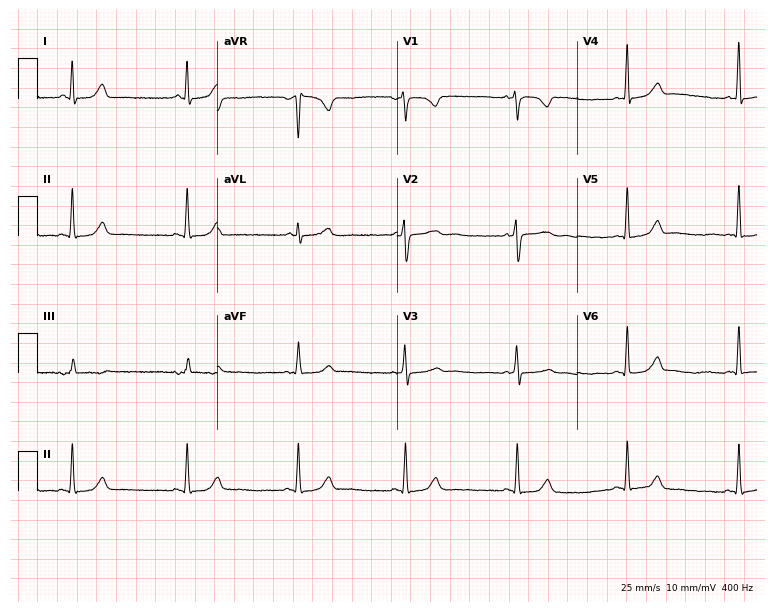
12-lead ECG from a 39-year-old woman. Recorded interpretation: within normal limits.